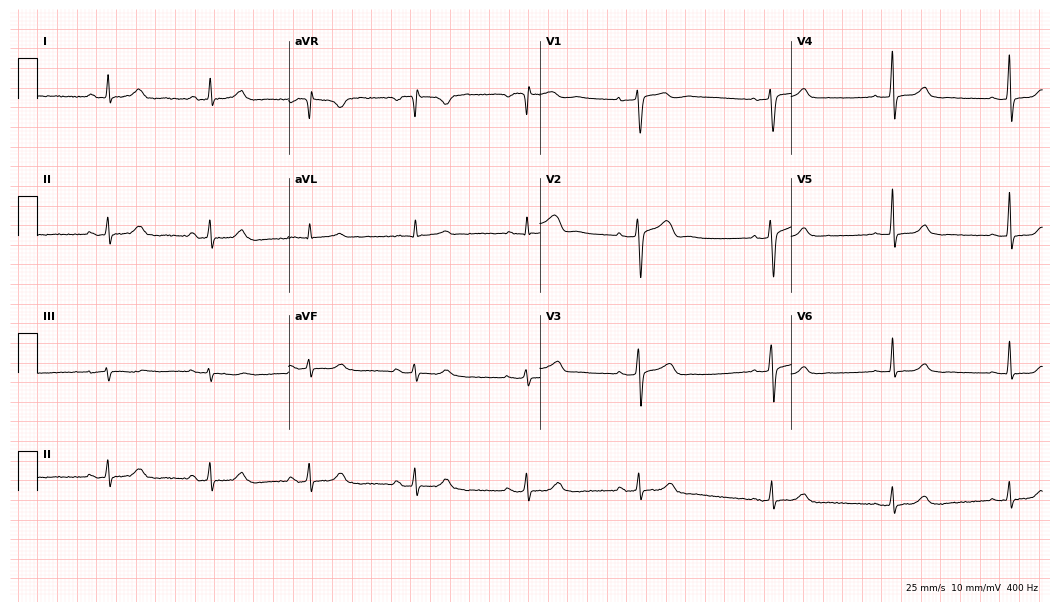
ECG (10.2-second recording at 400 Hz) — a 70-year-old female. Labelled as a normal ECG.